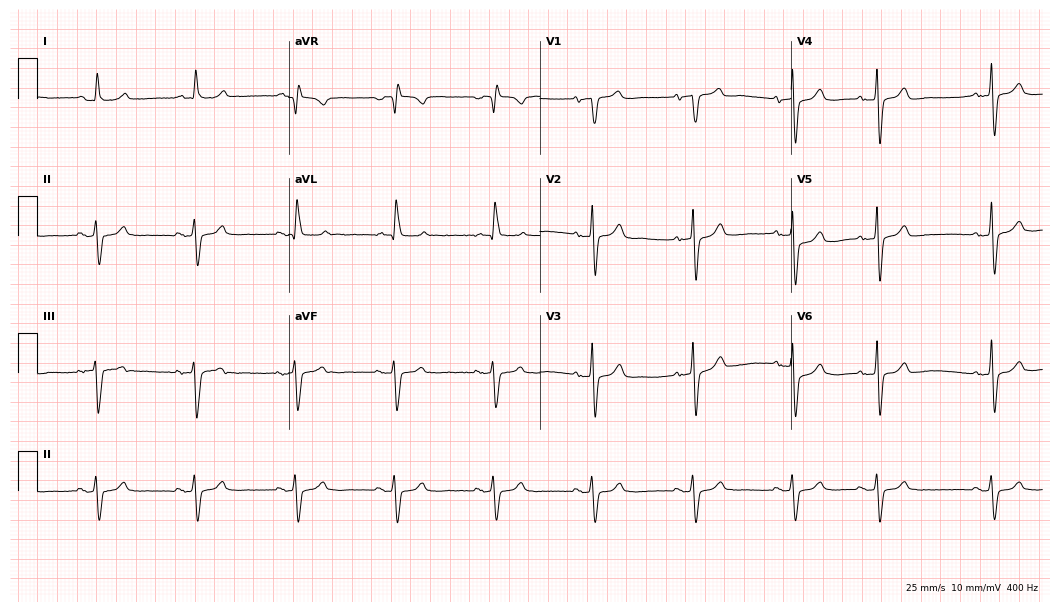
Standard 12-lead ECG recorded from a male patient, 79 years old. None of these six findings is recorded: first-degree AV block, right bundle branch block, left bundle branch block, sinus bradycardia, atrial fibrillation, sinus tachycardia. Findings outside these six are not listed.